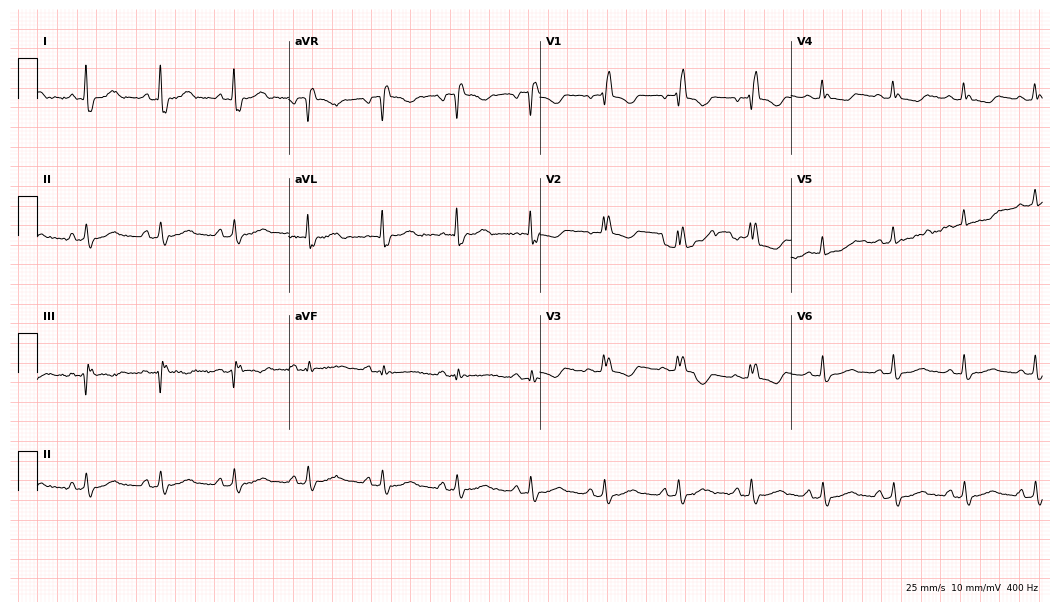
Electrocardiogram (10.2-second recording at 400 Hz), a female patient, 53 years old. Interpretation includes right bundle branch block.